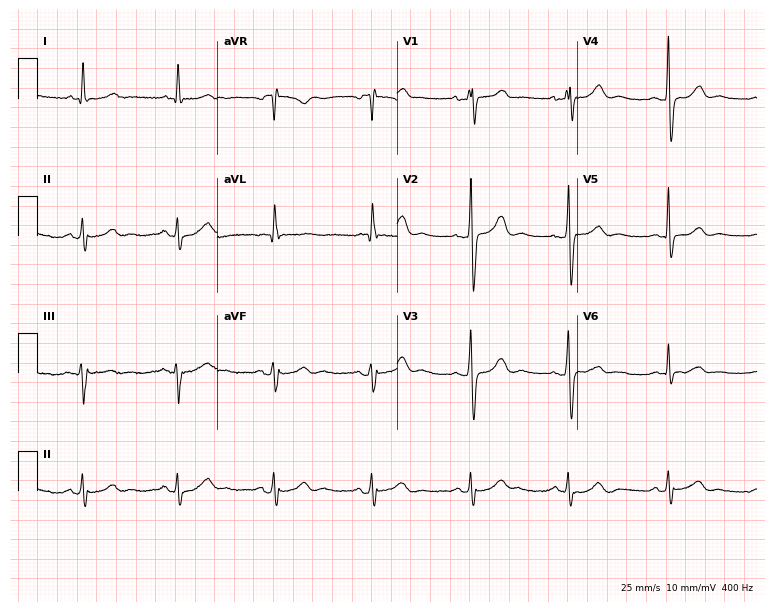
Electrocardiogram (7.3-second recording at 400 Hz), a female, 73 years old. Overall reading on record: normal ECG.